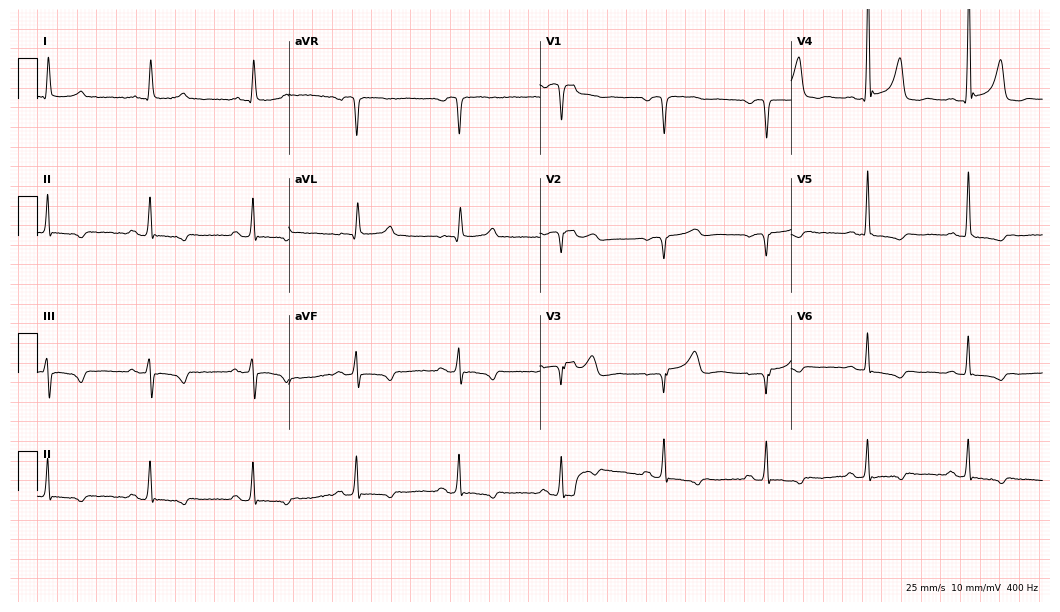
12-lead ECG (10.2-second recording at 400 Hz) from a male, 64 years old. Screened for six findings — first-degree AV block, right bundle branch block, left bundle branch block, sinus bradycardia, atrial fibrillation, sinus tachycardia — none is recorded. Only these six findings were labelled.